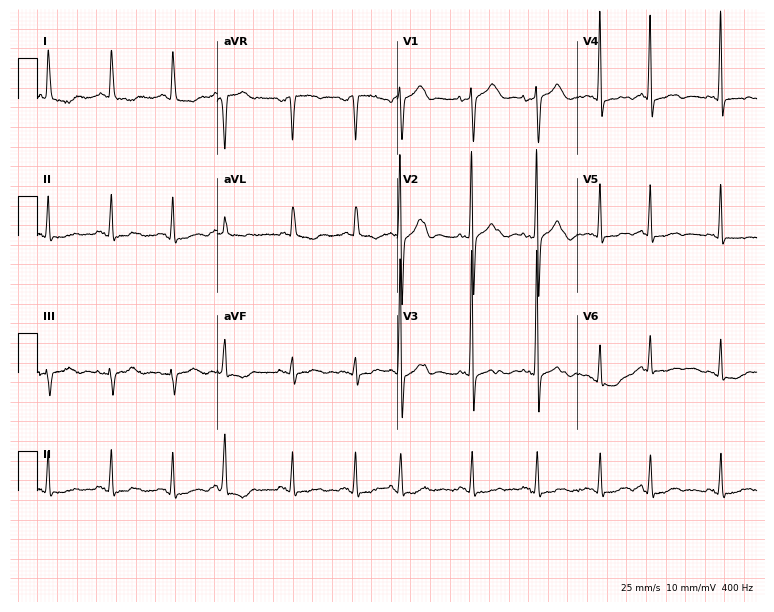
12-lead ECG (7.3-second recording at 400 Hz) from a 76-year-old female patient. Screened for six findings — first-degree AV block, right bundle branch block, left bundle branch block, sinus bradycardia, atrial fibrillation, sinus tachycardia — none is recorded.